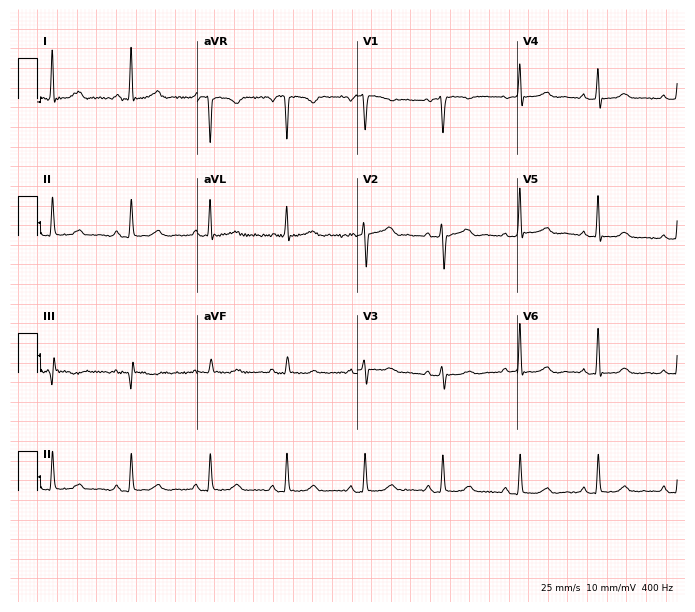
ECG — a 55-year-old woman. Labelled as a normal ECG.